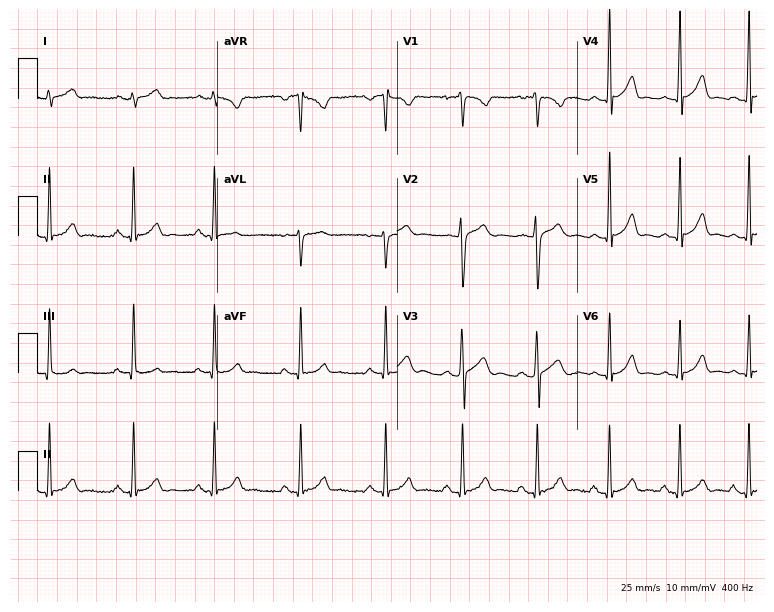
Electrocardiogram, a male, 19 years old. Overall reading on record: normal ECG.